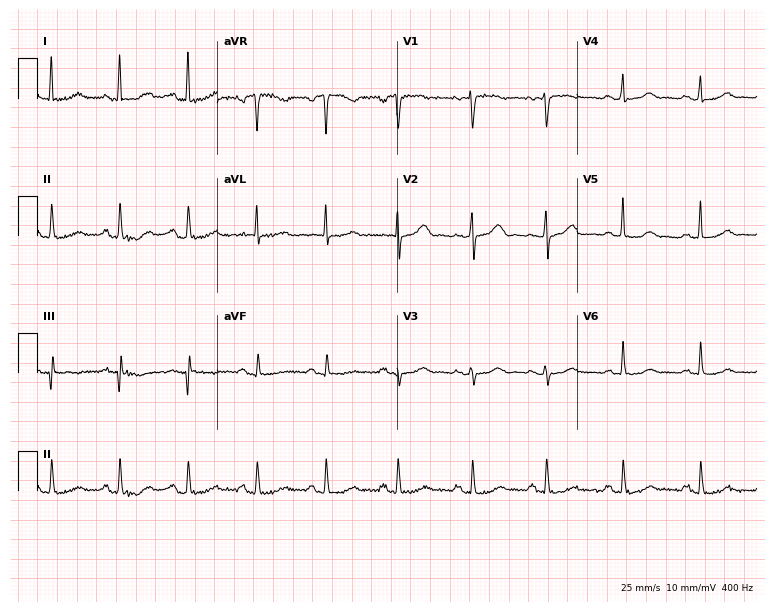
Electrocardiogram (7.3-second recording at 400 Hz), a 56-year-old female. Of the six screened findings (first-degree AV block, right bundle branch block, left bundle branch block, sinus bradycardia, atrial fibrillation, sinus tachycardia), none is recorded.